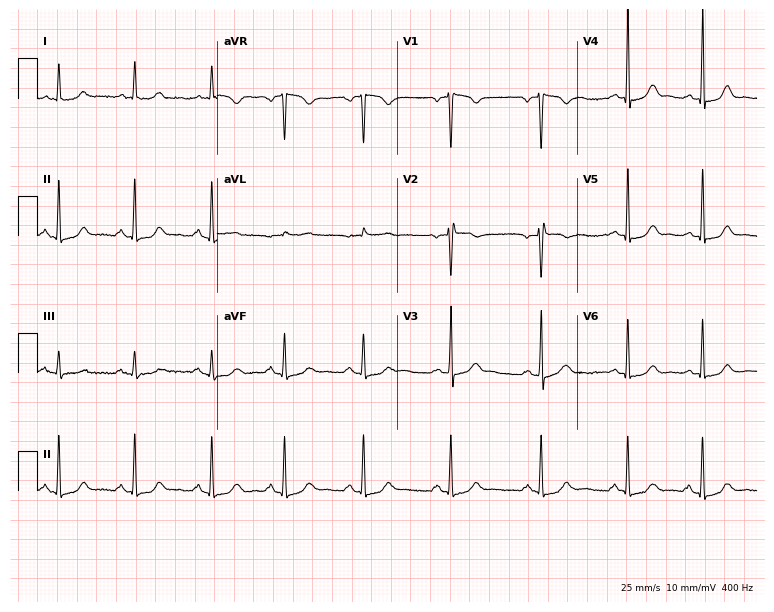
ECG (7.3-second recording at 400 Hz) — a 36-year-old woman. Labelled as a normal ECG.